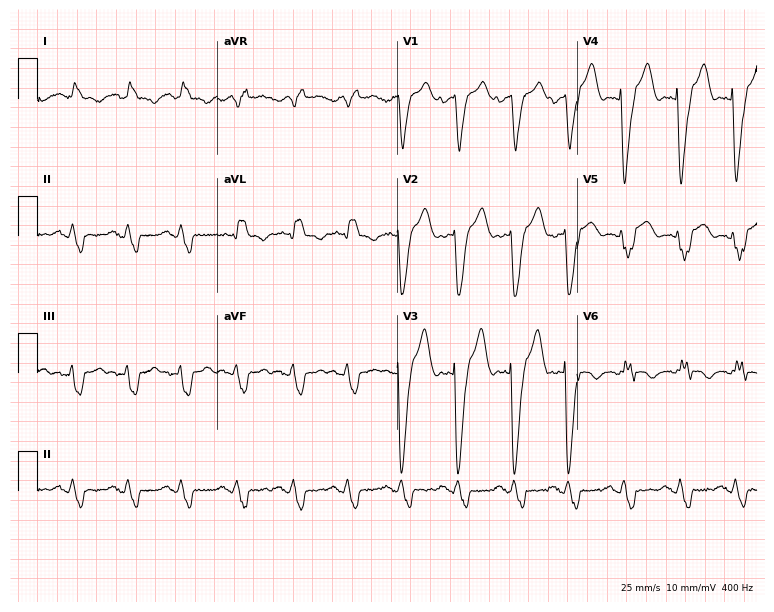
Electrocardiogram (7.3-second recording at 400 Hz), a male, 82 years old. Interpretation includes left bundle branch block.